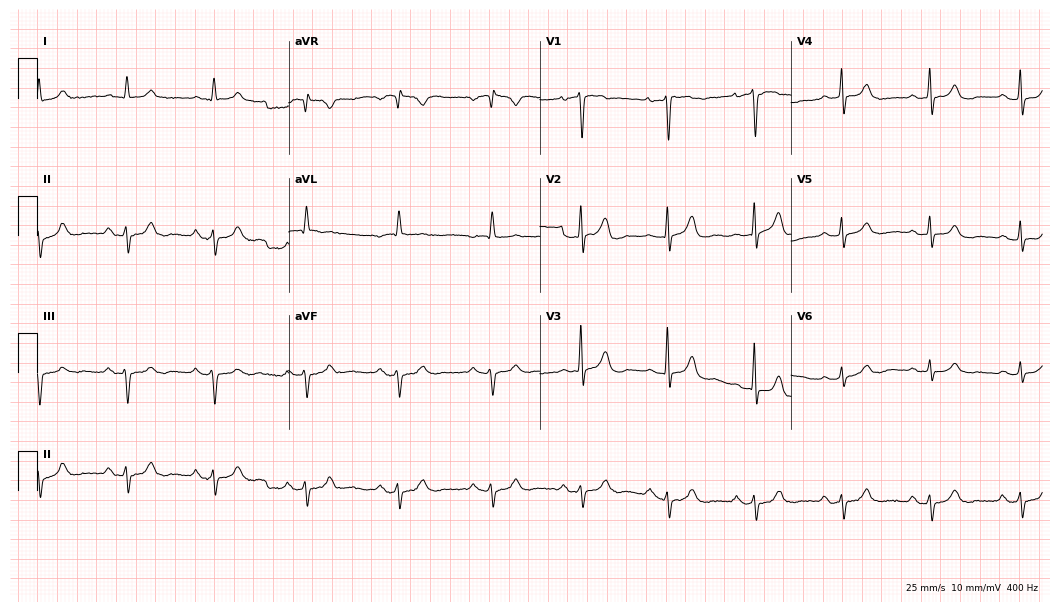
Electrocardiogram, a 79-year-old male patient. Overall reading on record: normal ECG.